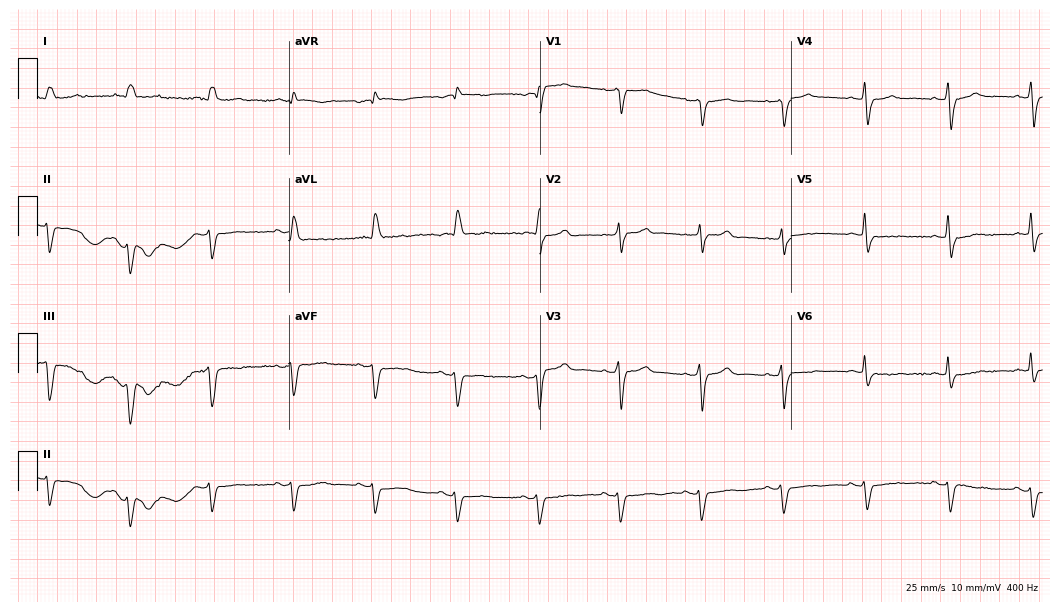
Standard 12-lead ECG recorded from a 72-year-old male (10.2-second recording at 400 Hz). The tracing shows left bundle branch block.